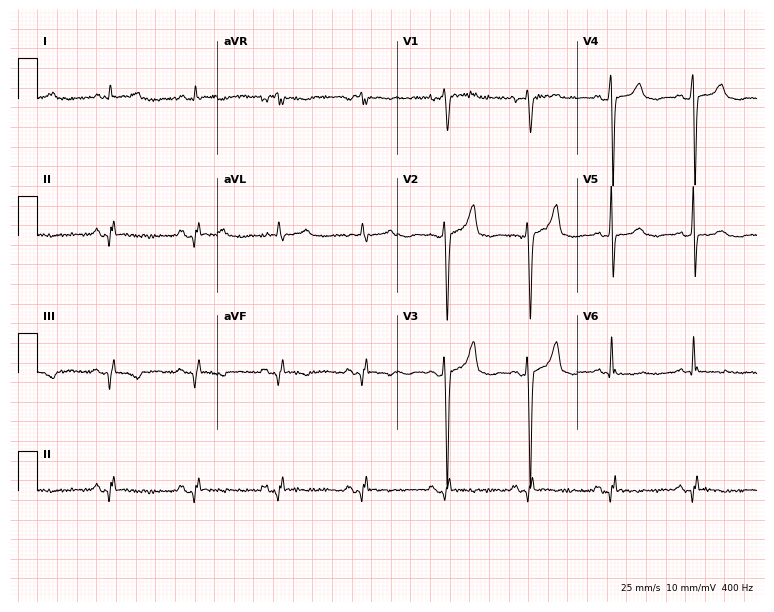
Resting 12-lead electrocardiogram. Patient: an 80-year-old male. None of these six findings is recorded: first-degree AV block, right bundle branch block, left bundle branch block, sinus bradycardia, atrial fibrillation, sinus tachycardia.